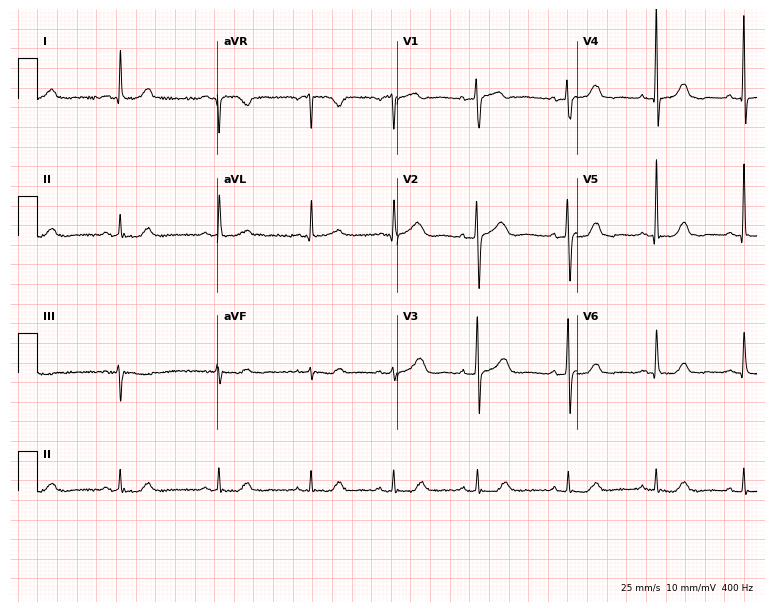
Resting 12-lead electrocardiogram (7.3-second recording at 400 Hz). Patient: a female, 67 years old. Read as a normal ECG.